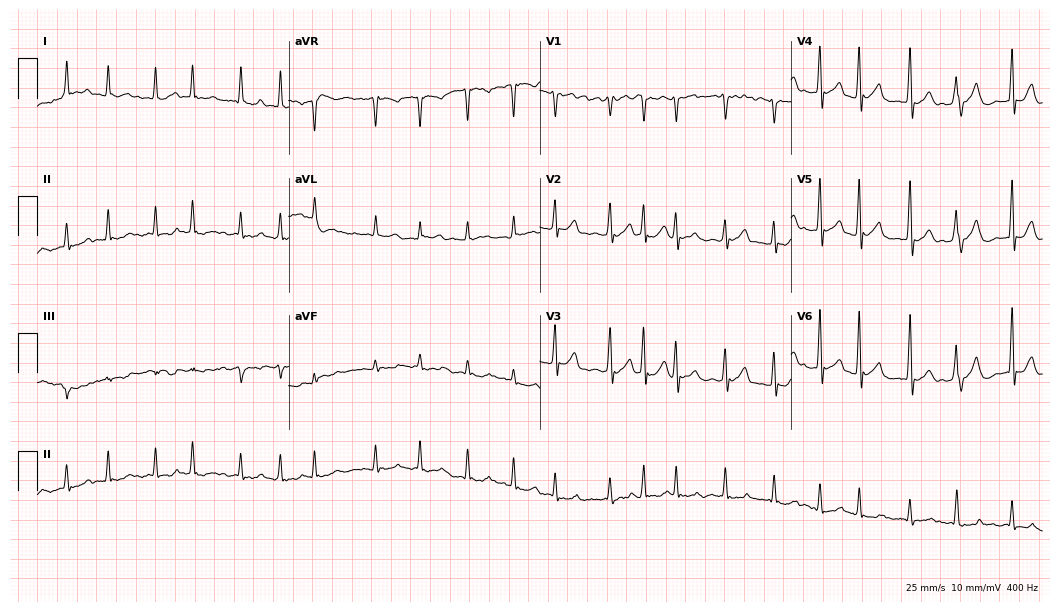
ECG — a male patient, 64 years old. Findings include atrial fibrillation.